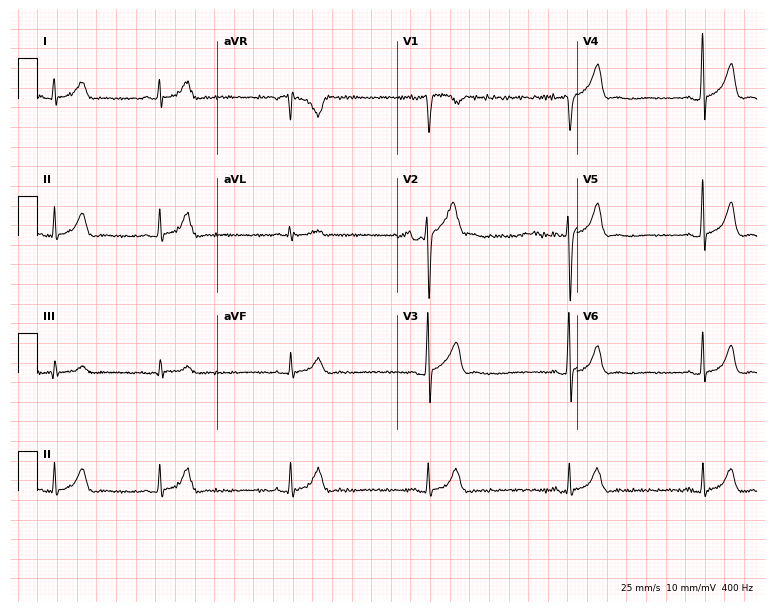
ECG — a man, 28 years old. Findings include sinus bradycardia (a sinus rate of 50 beats per minute or less).